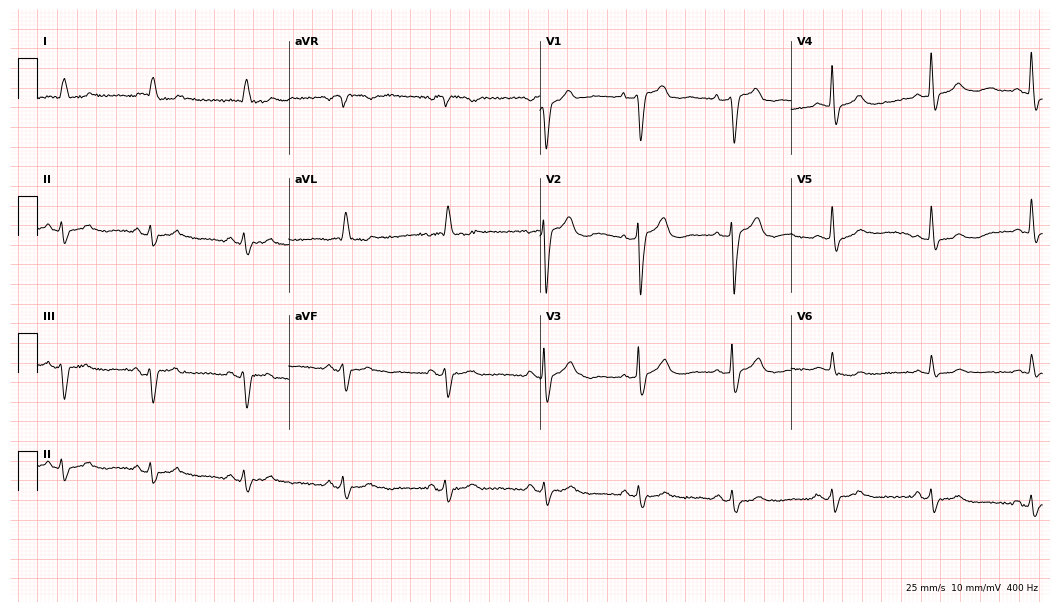
ECG (10.2-second recording at 400 Hz) — a man, 82 years old. Screened for six findings — first-degree AV block, right bundle branch block (RBBB), left bundle branch block (LBBB), sinus bradycardia, atrial fibrillation (AF), sinus tachycardia — none is recorded. Findings outside these six are not listed.